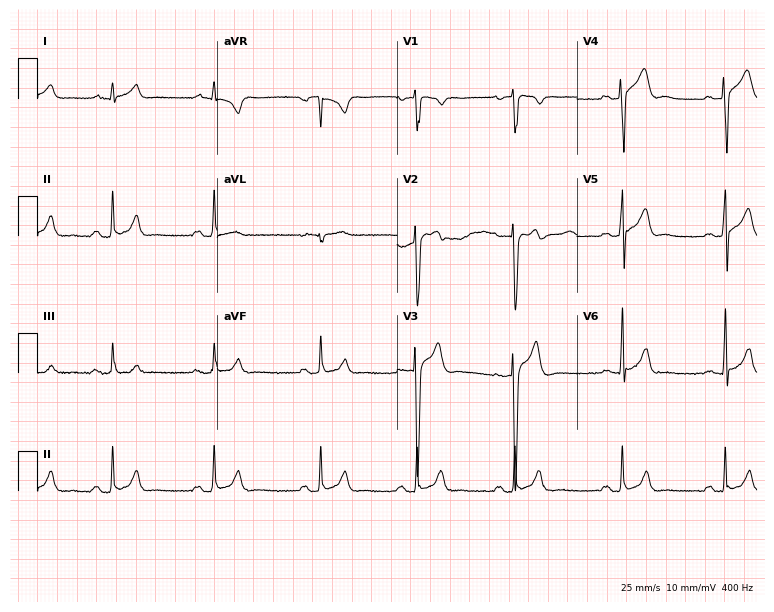
12-lead ECG from a male, 27 years old. Recorded interpretation: within normal limits.